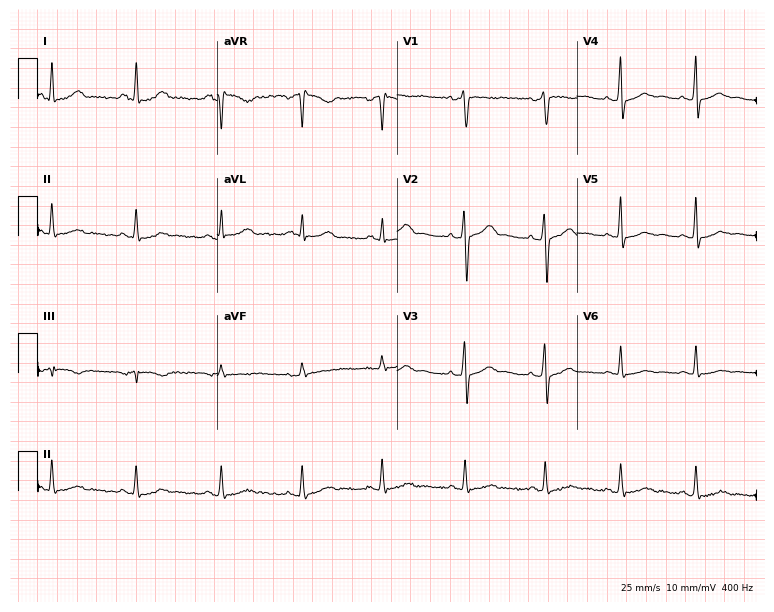
12-lead ECG from a female, 34 years old (7.3-second recording at 400 Hz). No first-degree AV block, right bundle branch block, left bundle branch block, sinus bradycardia, atrial fibrillation or sinus tachycardia recorded for this tracing.